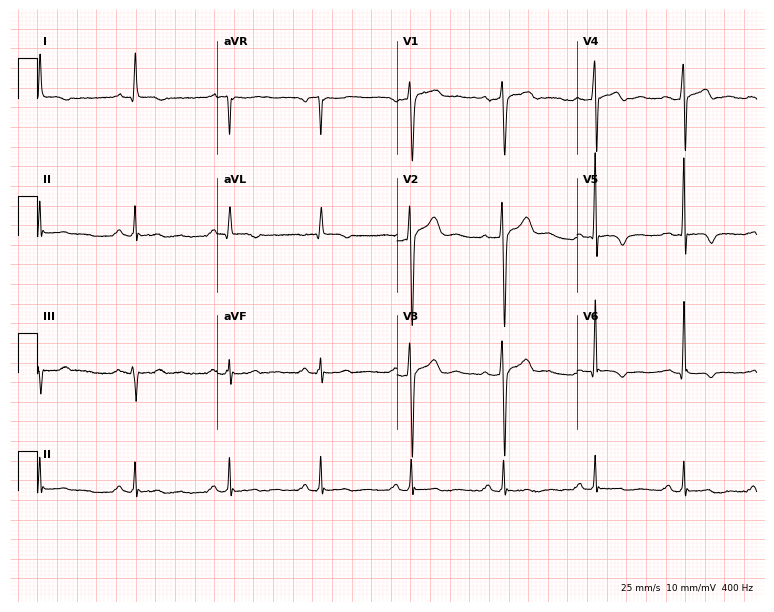
ECG — a 45-year-old male. Screened for six findings — first-degree AV block, right bundle branch block, left bundle branch block, sinus bradycardia, atrial fibrillation, sinus tachycardia — none is recorded. Other findings, if any, are not listed.